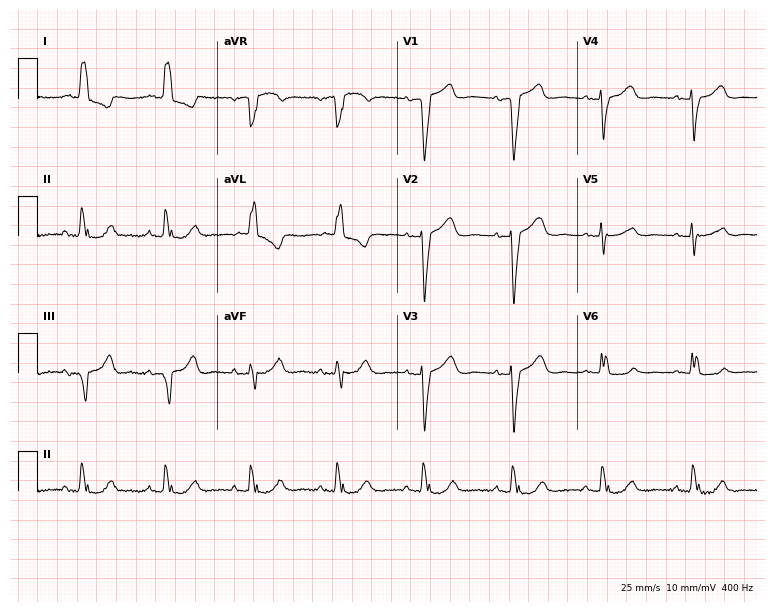
Resting 12-lead electrocardiogram. Patient: a female, 78 years old. None of these six findings is recorded: first-degree AV block, right bundle branch block (RBBB), left bundle branch block (LBBB), sinus bradycardia, atrial fibrillation (AF), sinus tachycardia. Findings outside these six are not listed.